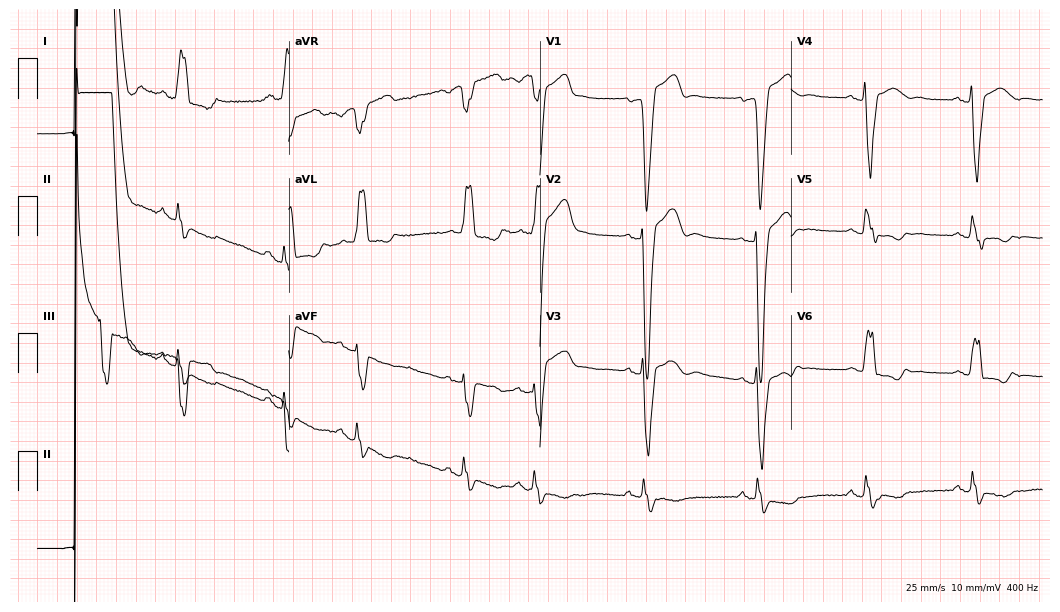
Resting 12-lead electrocardiogram (10.2-second recording at 400 Hz). Patient: a 77-year-old male. The tracing shows left bundle branch block.